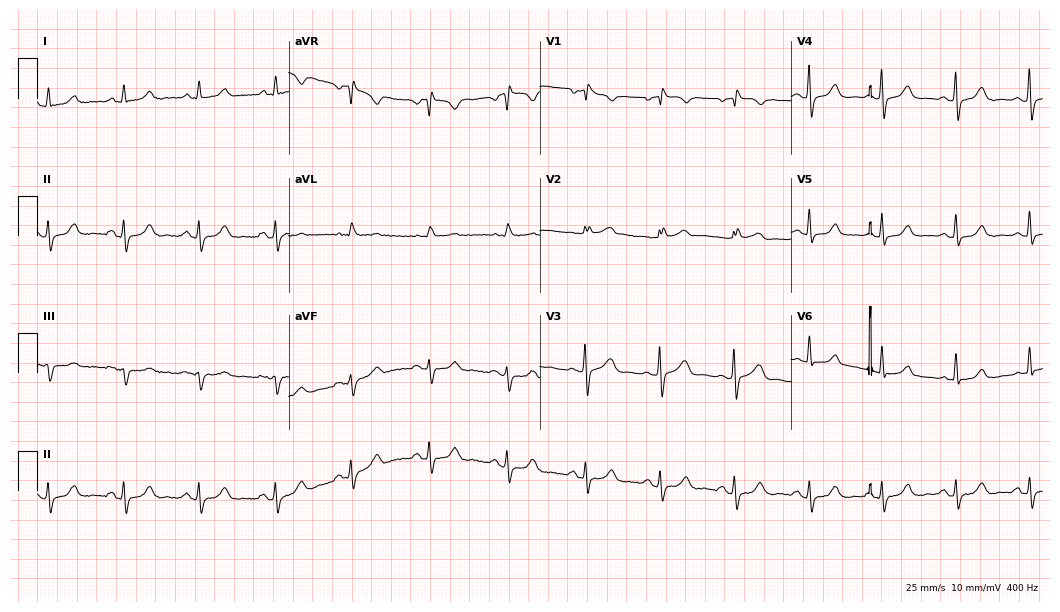
12-lead ECG from a woman, 72 years old. No first-degree AV block, right bundle branch block, left bundle branch block, sinus bradycardia, atrial fibrillation or sinus tachycardia recorded for this tracing. Findings outside these six are not listed.